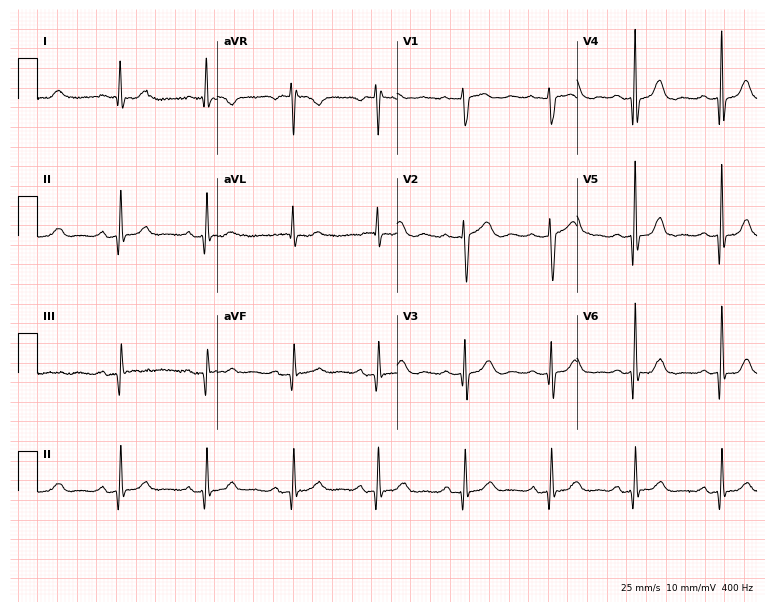
Standard 12-lead ECG recorded from a female, 80 years old (7.3-second recording at 400 Hz). None of these six findings is recorded: first-degree AV block, right bundle branch block, left bundle branch block, sinus bradycardia, atrial fibrillation, sinus tachycardia.